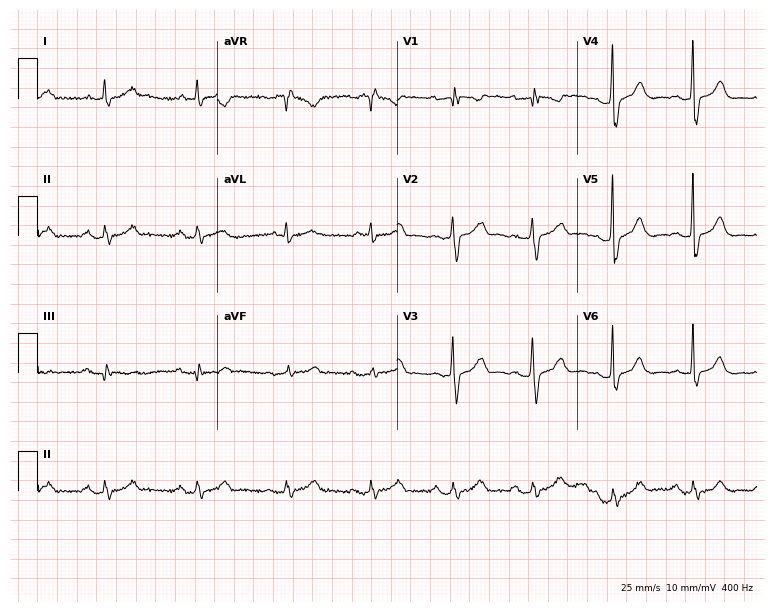
Standard 12-lead ECG recorded from a male patient, 72 years old. None of these six findings is recorded: first-degree AV block, right bundle branch block, left bundle branch block, sinus bradycardia, atrial fibrillation, sinus tachycardia.